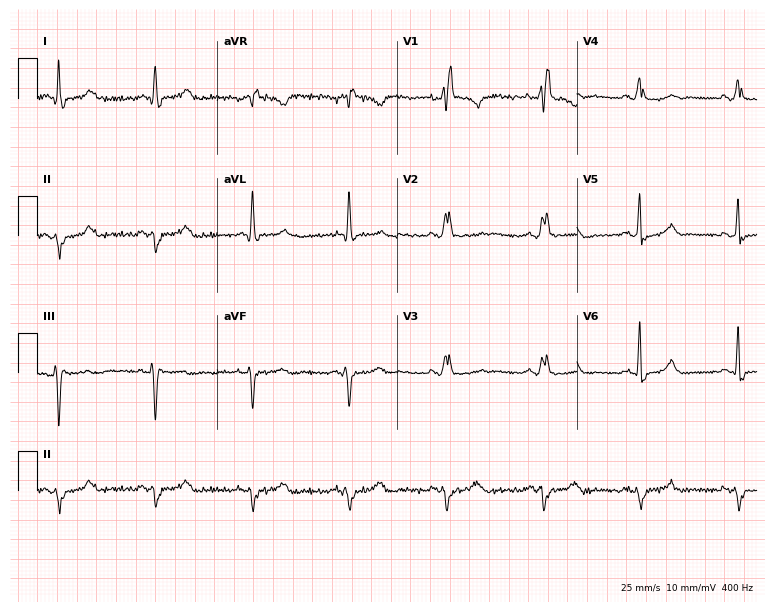
12-lead ECG from an 82-year-old male. Findings include right bundle branch block.